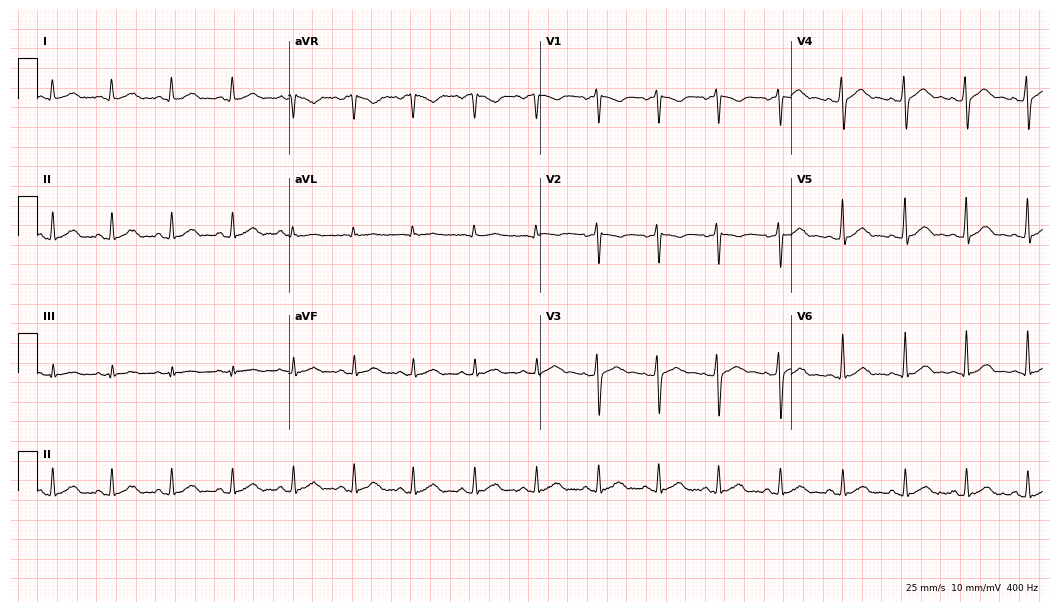
12-lead ECG from a 31-year-old man. No first-degree AV block, right bundle branch block (RBBB), left bundle branch block (LBBB), sinus bradycardia, atrial fibrillation (AF) or sinus tachycardia recorded for this tracing.